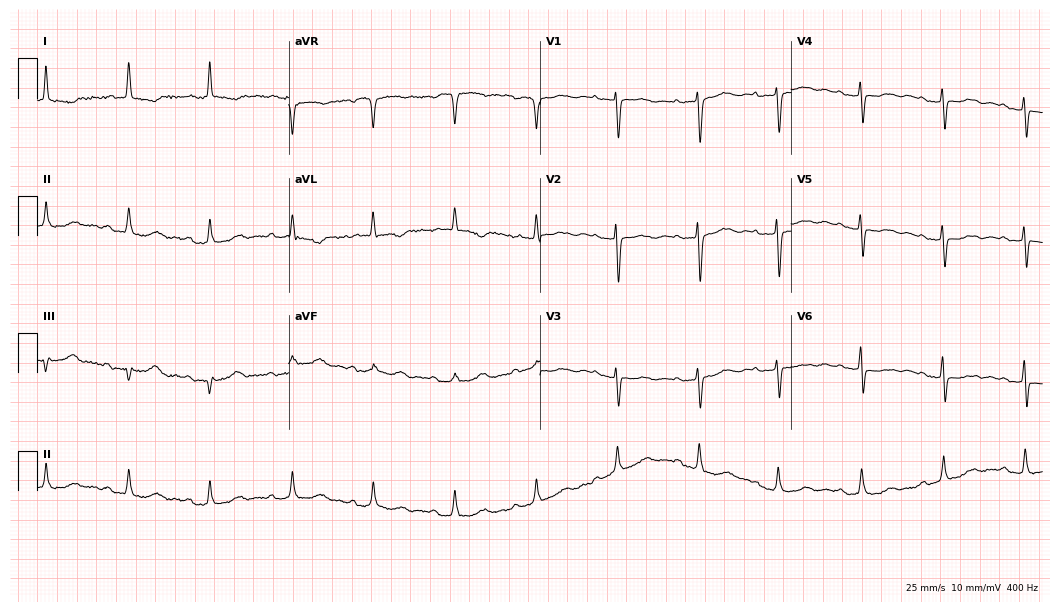
Resting 12-lead electrocardiogram. Patient: a female, 81 years old. None of these six findings is recorded: first-degree AV block, right bundle branch block, left bundle branch block, sinus bradycardia, atrial fibrillation, sinus tachycardia. Only these six findings were labelled.